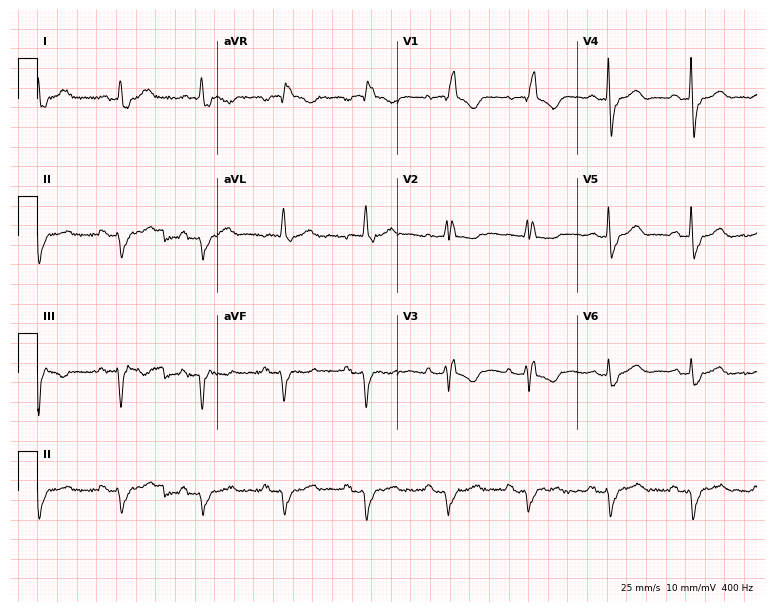
12-lead ECG (7.3-second recording at 400 Hz) from a female, 83 years old. Findings include right bundle branch block.